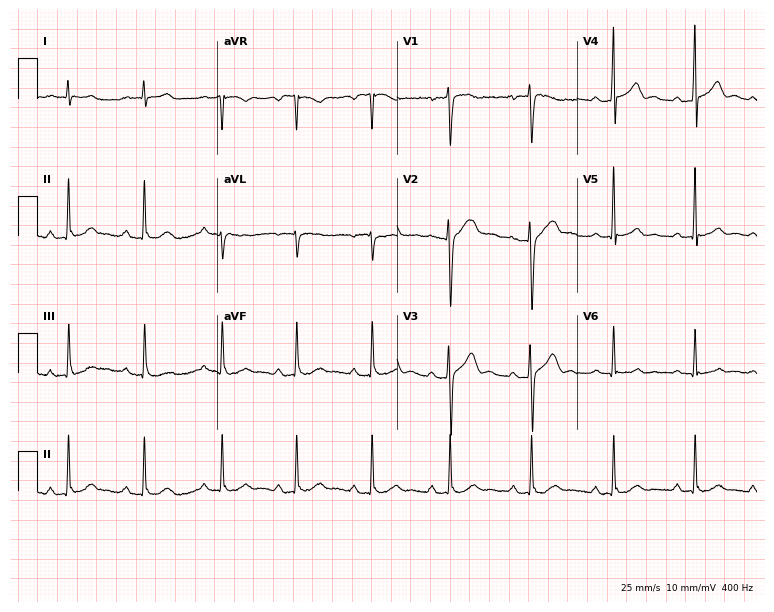
ECG — a 25-year-old male. Screened for six findings — first-degree AV block, right bundle branch block (RBBB), left bundle branch block (LBBB), sinus bradycardia, atrial fibrillation (AF), sinus tachycardia — none is recorded. Only these six findings were labelled.